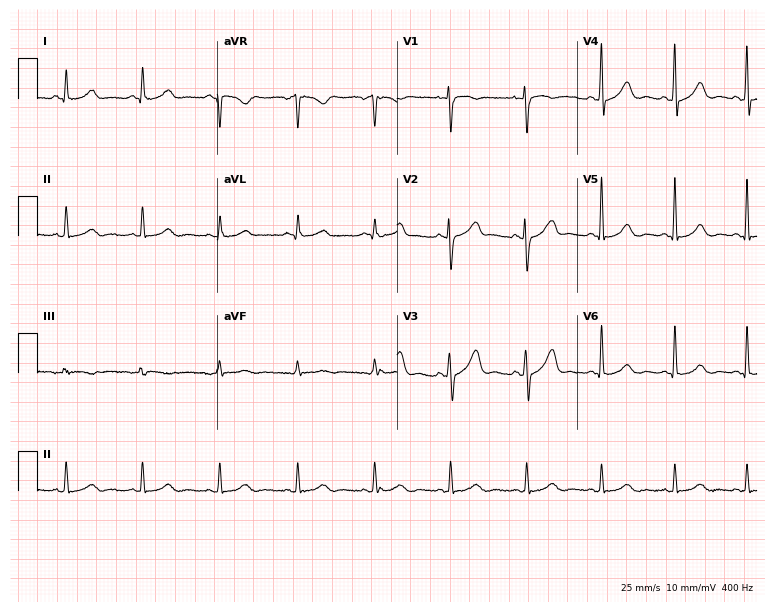
12-lead ECG (7.3-second recording at 400 Hz) from a 55-year-old woman. Labelled as a normal ECG.